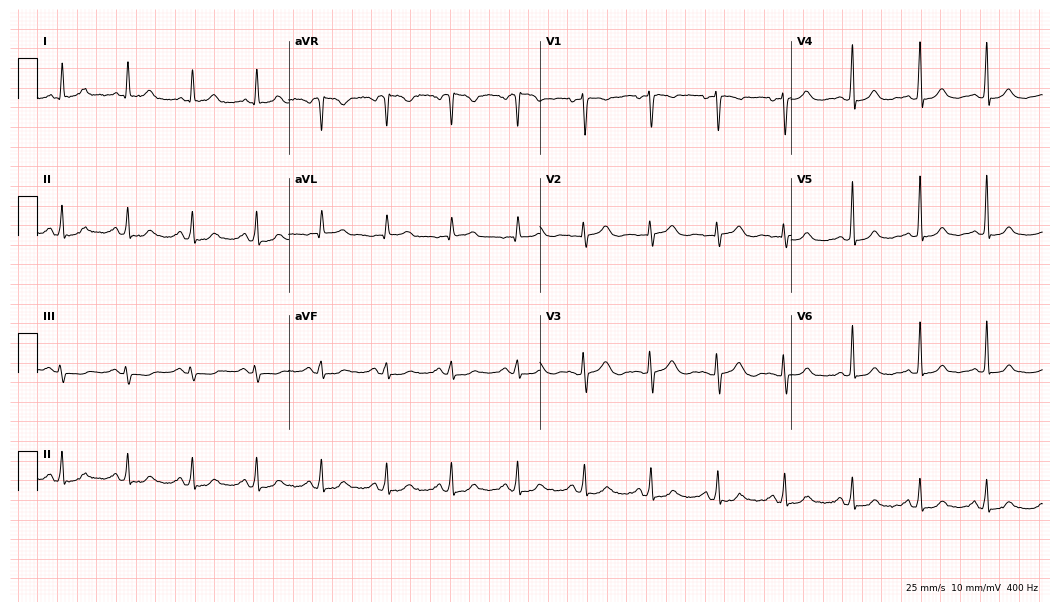
12-lead ECG from a 43-year-old female patient. Labelled as a normal ECG.